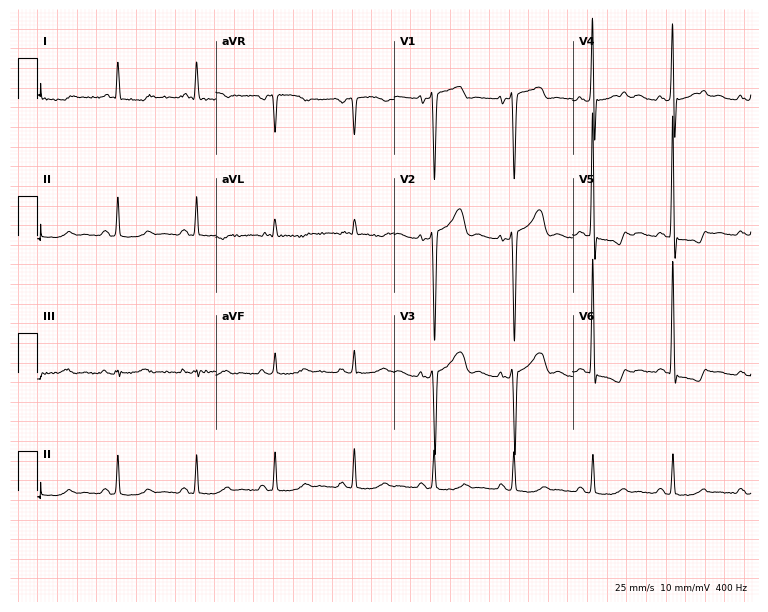
12-lead ECG from a 63-year-old male patient. Screened for six findings — first-degree AV block, right bundle branch block (RBBB), left bundle branch block (LBBB), sinus bradycardia, atrial fibrillation (AF), sinus tachycardia — none is recorded.